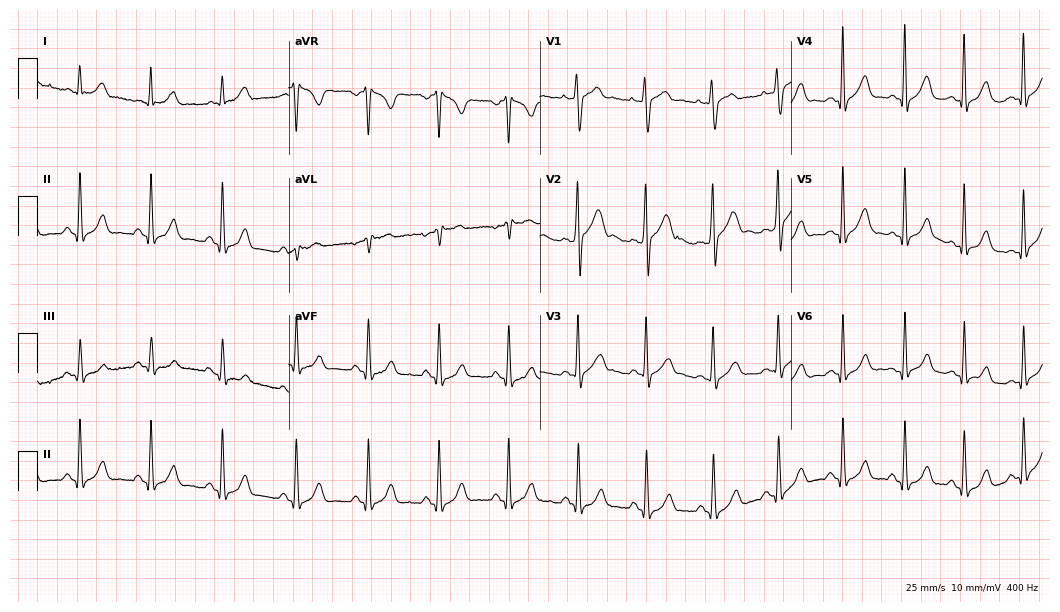
Electrocardiogram (10.2-second recording at 400 Hz), a male patient, 35 years old. Of the six screened findings (first-degree AV block, right bundle branch block, left bundle branch block, sinus bradycardia, atrial fibrillation, sinus tachycardia), none is recorded. Other findings, if any, are not listed.